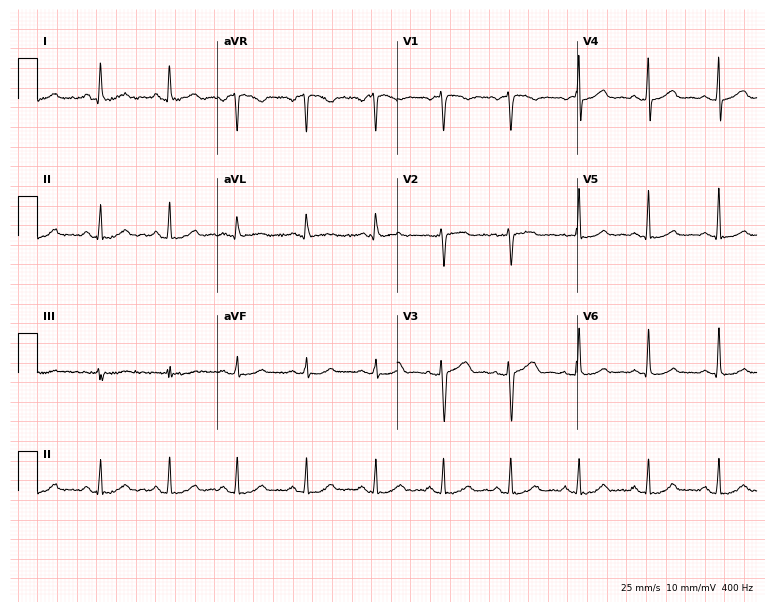
12-lead ECG from a 46-year-old female. Recorded interpretation: within normal limits.